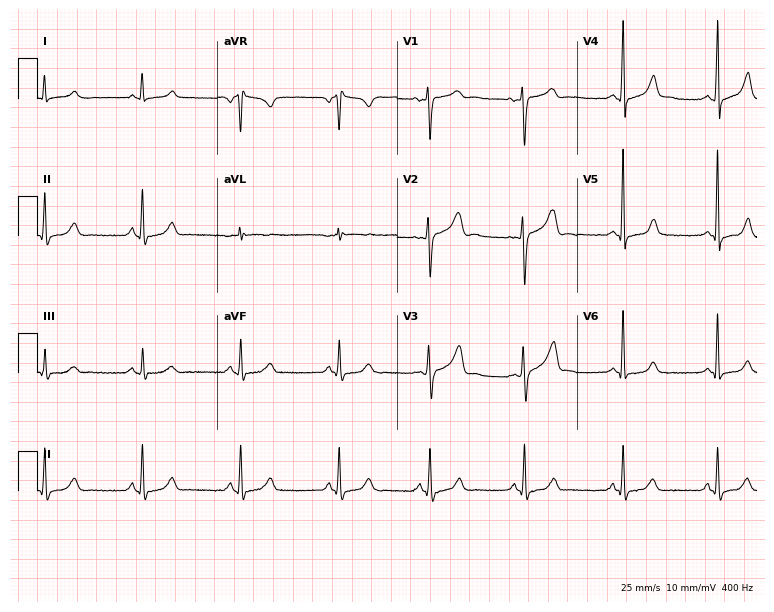
Resting 12-lead electrocardiogram (7.3-second recording at 400 Hz). Patient: a female, 24 years old. Read as a normal ECG.